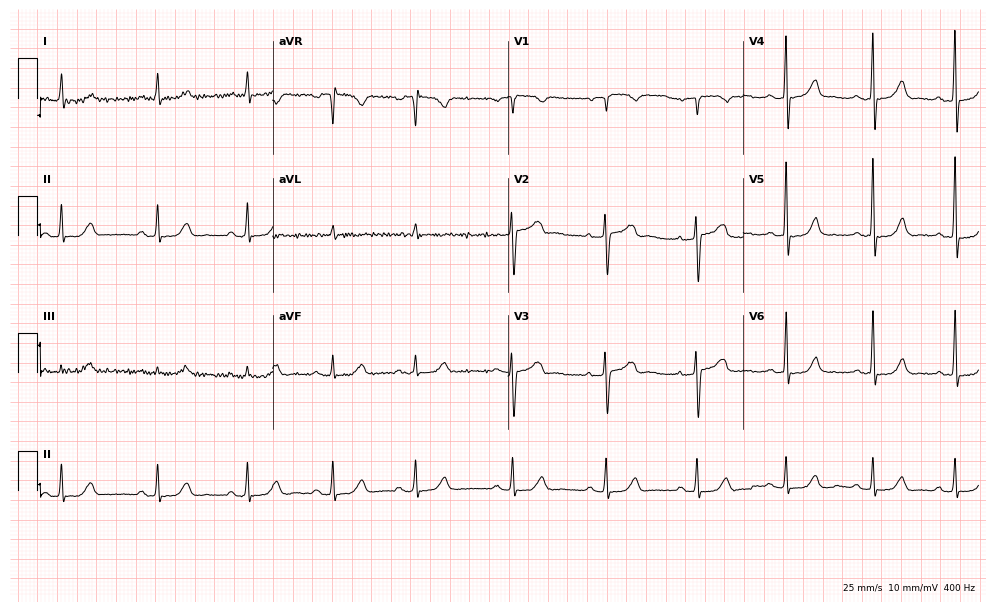
Electrocardiogram (9.6-second recording at 400 Hz), an 80-year-old female. Overall reading on record: normal ECG.